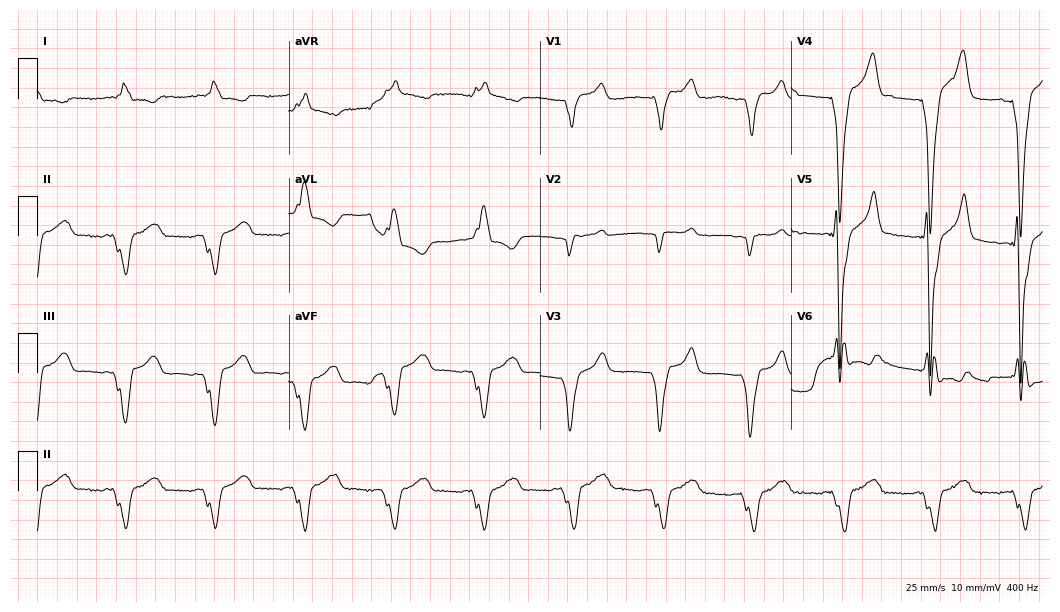
Standard 12-lead ECG recorded from a man, 76 years old. None of these six findings is recorded: first-degree AV block, right bundle branch block (RBBB), left bundle branch block (LBBB), sinus bradycardia, atrial fibrillation (AF), sinus tachycardia.